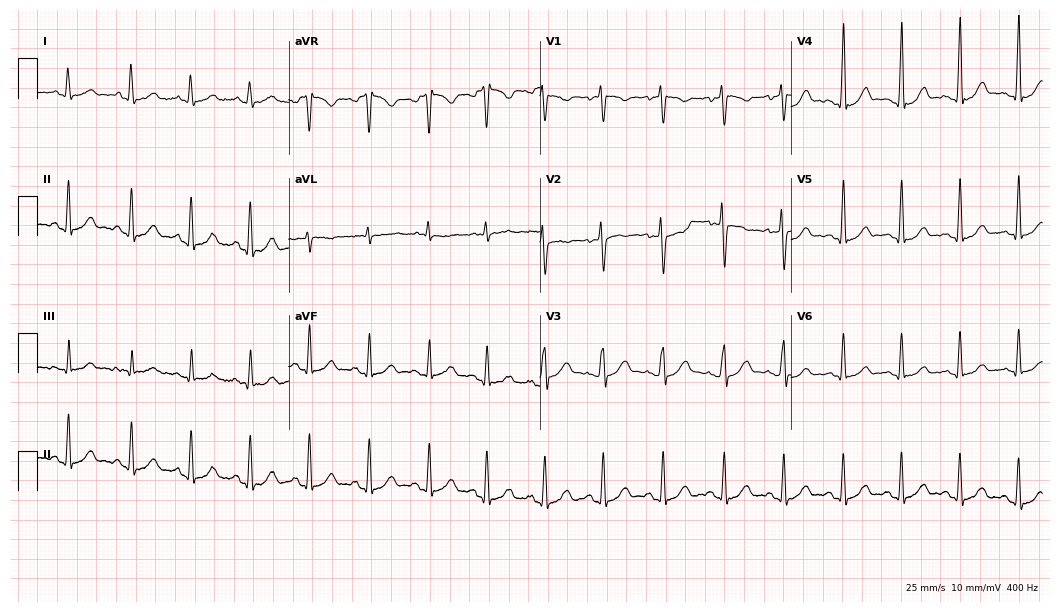
12-lead ECG from a female, 31 years old. Labelled as a normal ECG.